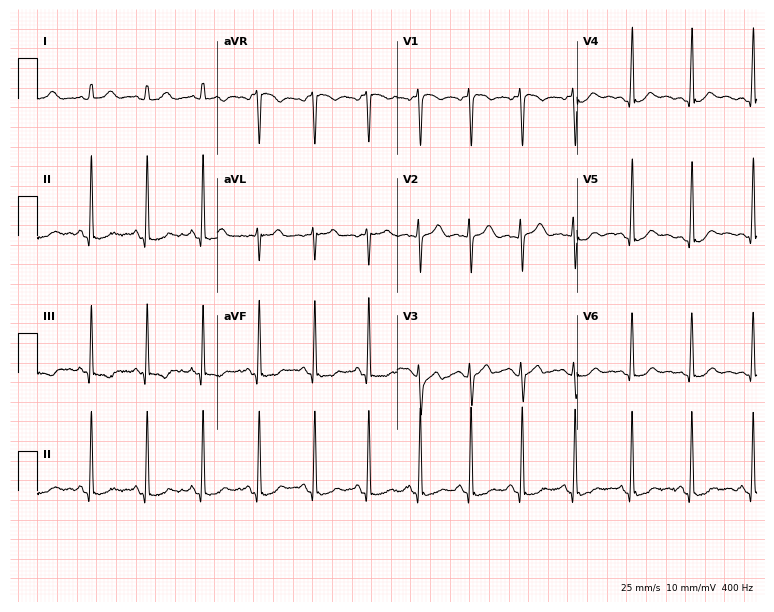
ECG — a female patient, 22 years old. Findings include sinus tachycardia (a sinus rate of 100 beats per minute or more).